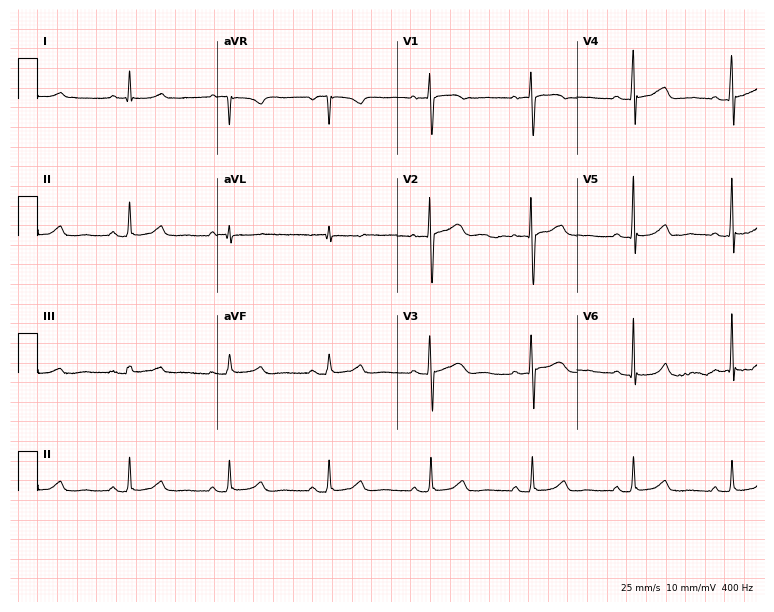
Resting 12-lead electrocardiogram. Patient: a 73-year-old female. None of these six findings is recorded: first-degree AV block, right bundle branch block, left bundle branch block, sinus bradycardia, atrial fibrillation, sinus tachycardia. Other findings, if any, are not listed.